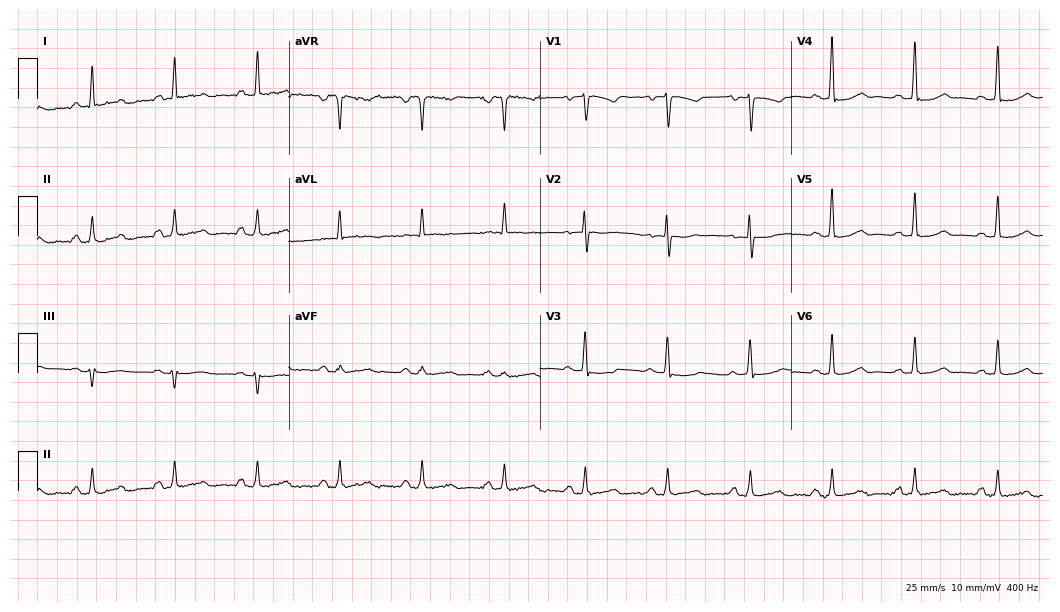
Resting 12-lead electrocardiogram (10.2-second recording at 400 Hz). Patient: a female, 72 years old. Read as a normal ECG.